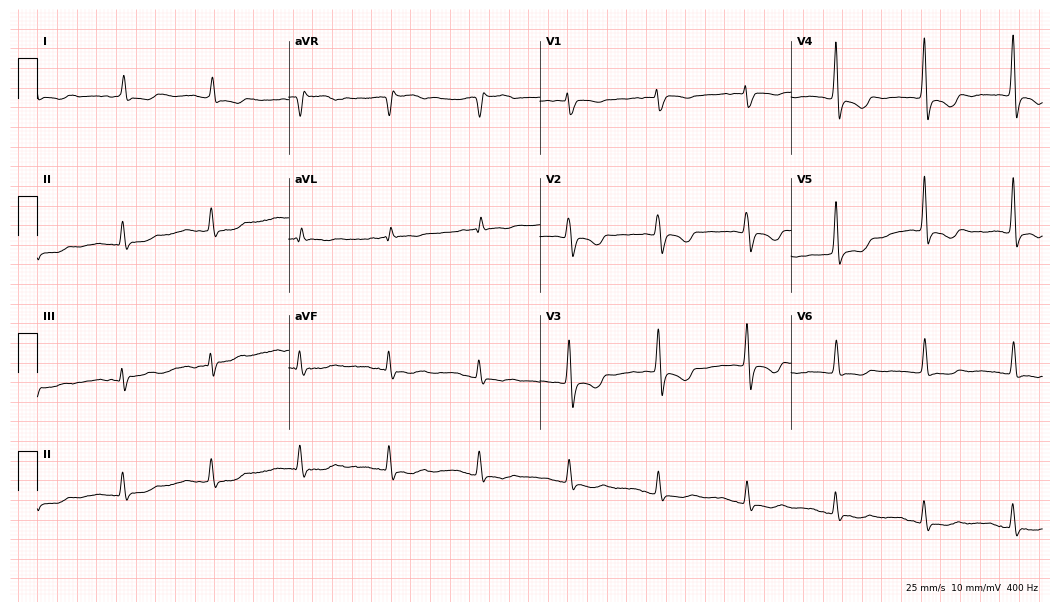
ECG — a female, 84 years old. Screened for six findings — first-degree AV block, right bundle branch block, left bundle branch block, sinus bradycardia, atrial fibrillation, sinus tachycardia — none is recorded.